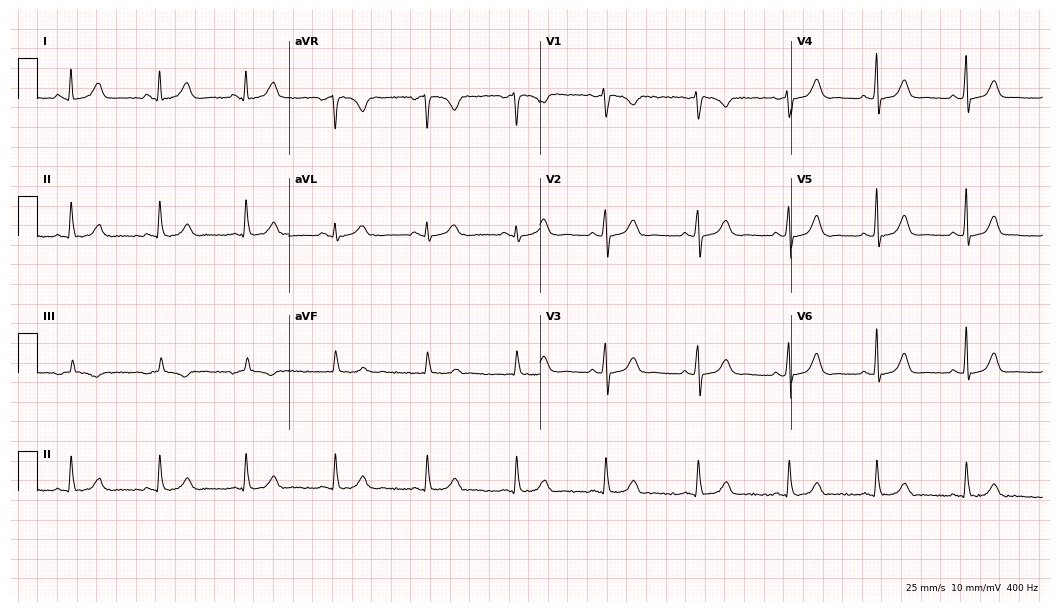
Resting 12-lead electrocardiogram. Patient: a female, 31 years old. Read as a normal ECG.